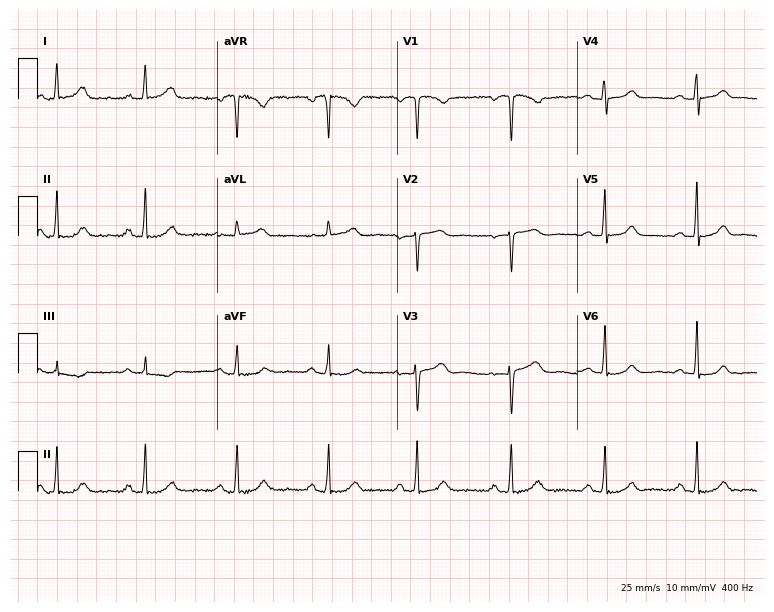
12-lead ECG (7.3-second recording at 400 Hz) from a 55-year-old female. Labelled as a normal ECG.